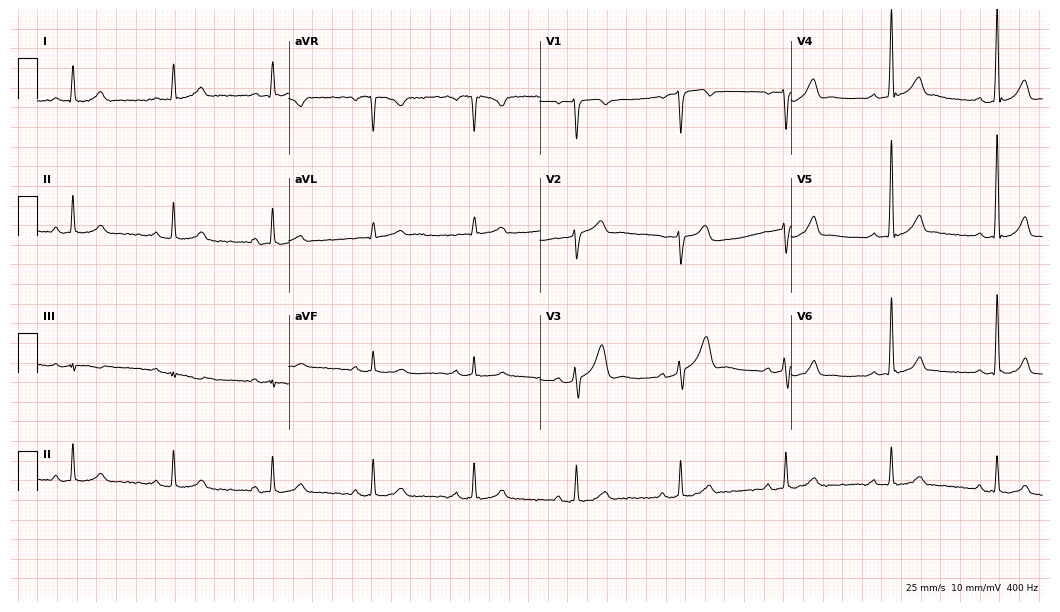
12-lead ECG (10.2-second recording at 400 Hz) from a 56-year-old male patient. Screened for six findings — first-degree AV block, right bundle branch block, left bundle branch block, sinus bradycardia, atrial fibrillation, sinus tachycardia — none is recorded. Other findings, if any, are not listed.